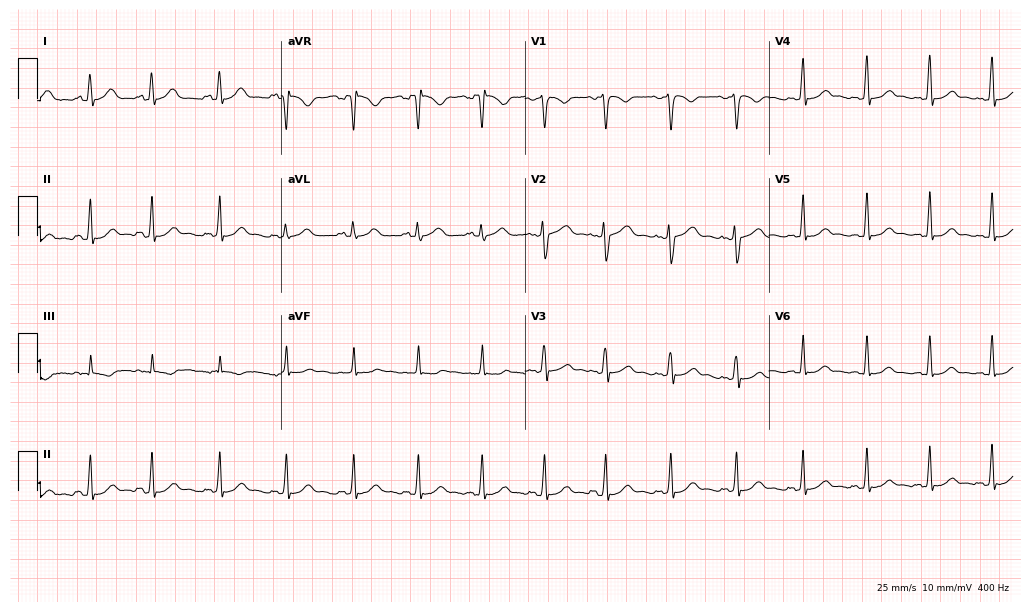
12-lead ECG from a female, 26 years old (9.9-second recording at 400 Hz). No first-degree AV block, right bundle branch block, left bundle branch block, sinus bradycardia, atrial fibrillation or sinus tachycardia recorded for this tracing. Findings outside these six are not listed.